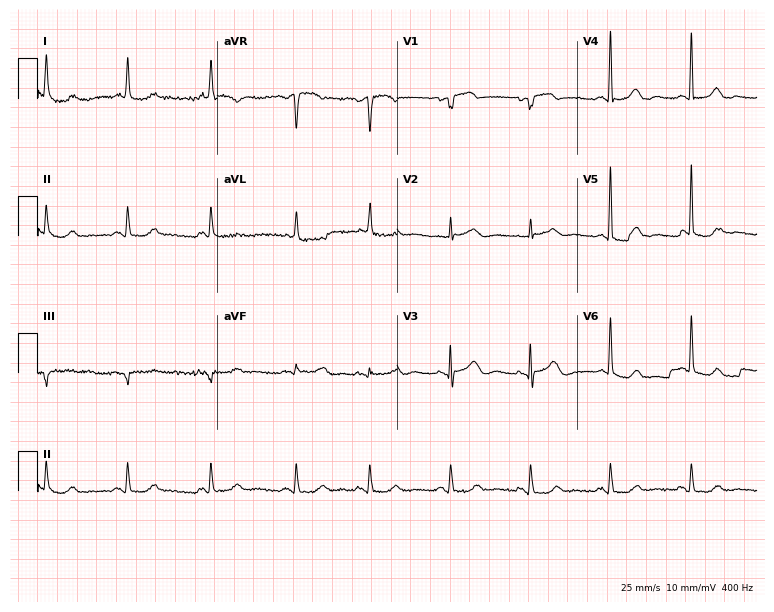
12-lead ECG from an 80-year-old woman (7.3-second recording at 400 Hz). No first-degree AV block, right bundle branch block, left bundle branch block, sinus bradycardia, atrial fibrillation or sinus tachycardia recorded for this tracing.